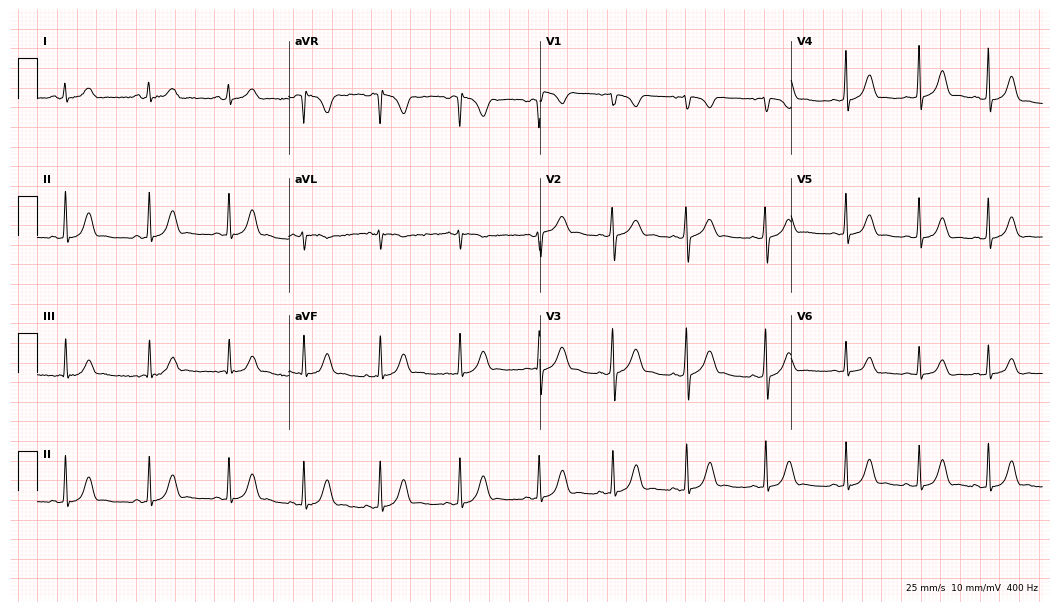
12-lead ECG from a female patient, 17 years old. Labelled as a normal ECG.